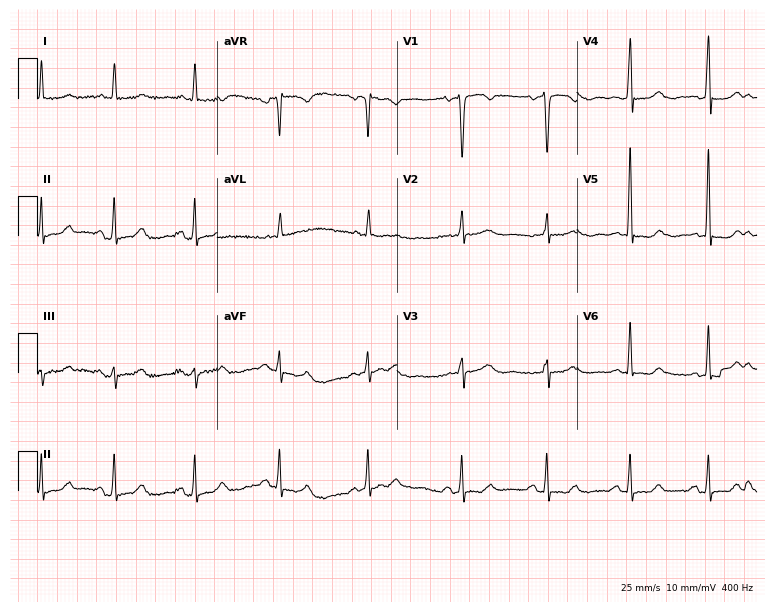
12-lead ECG from a woman, 46 years old. Screened for six findings — first-degree AV block, right bundle branch block, left bundle branch block, sinus bradycardia, atrial fibrillation, sinus tachycardia — none is recorded.